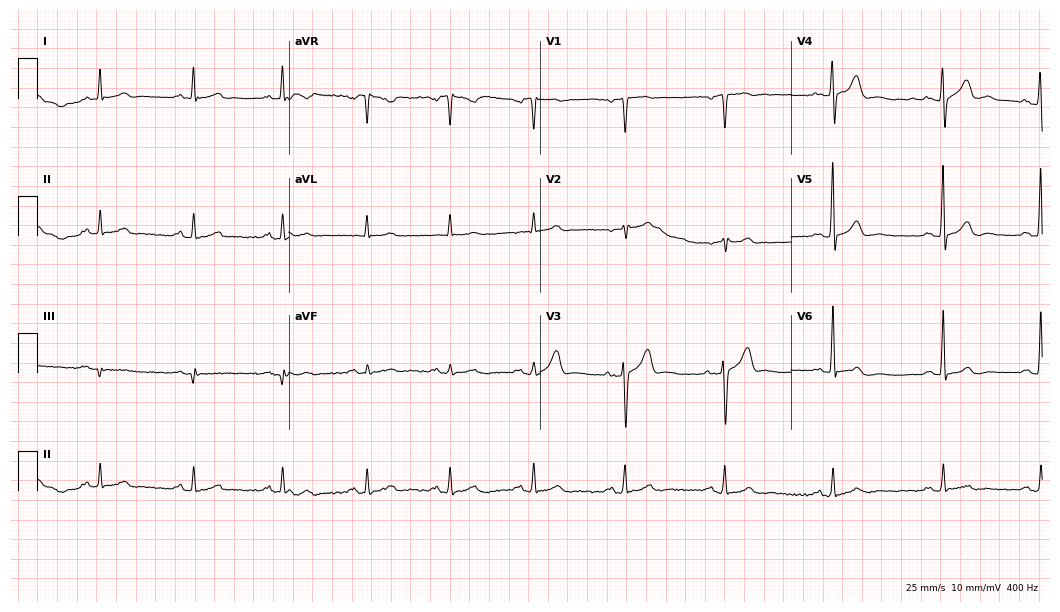
Electrocardiogram, a 66-year-old man. Overall reading on record: normal ECG.